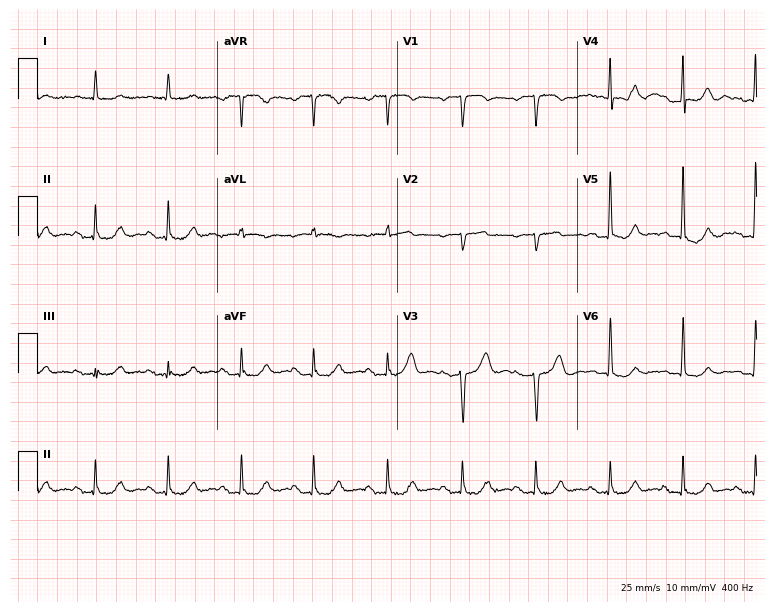
12-lead ECG from a male, 81 years old (7.3-second recording at 400 Hz). No first-degree AV block, right bundle branch block, left bundle branch block, sinus bradycardia, atrial fibrillation or sinus tachycardia recorded for this tracing.